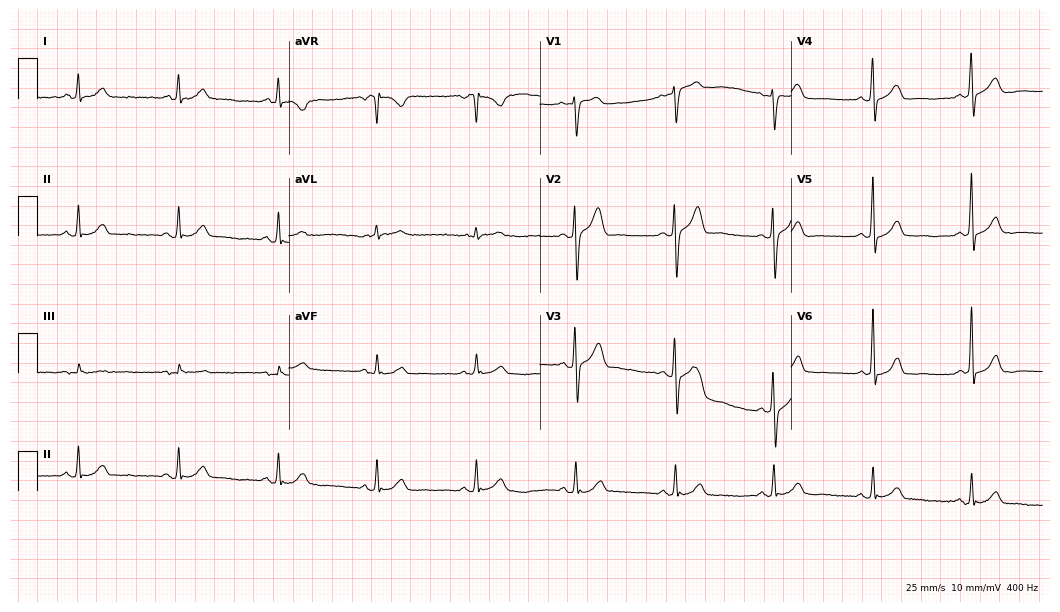
ECG — a 49-year-old male patient. Labelled as a normal ECG.